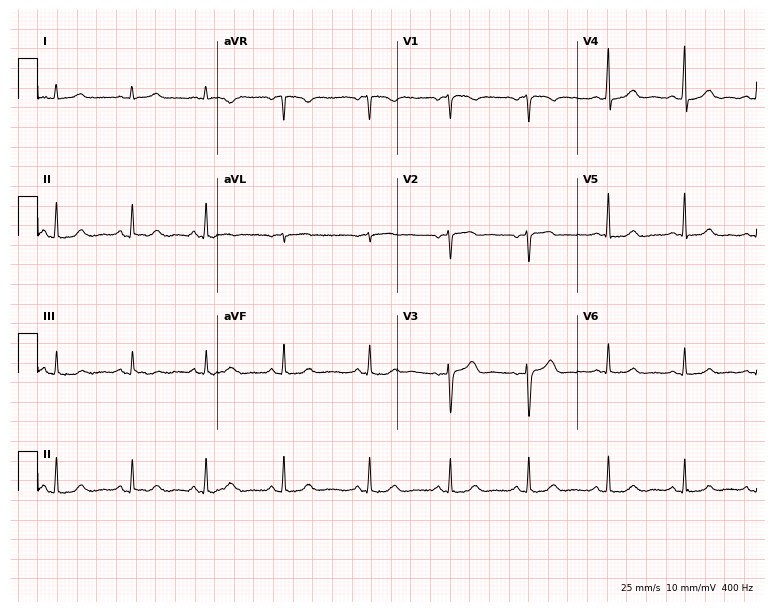
Resting 12-lead electrocardiogram (7.3-second recording at 400 Hz). Patient: a female, 50 years old. Read as a normal ECG.